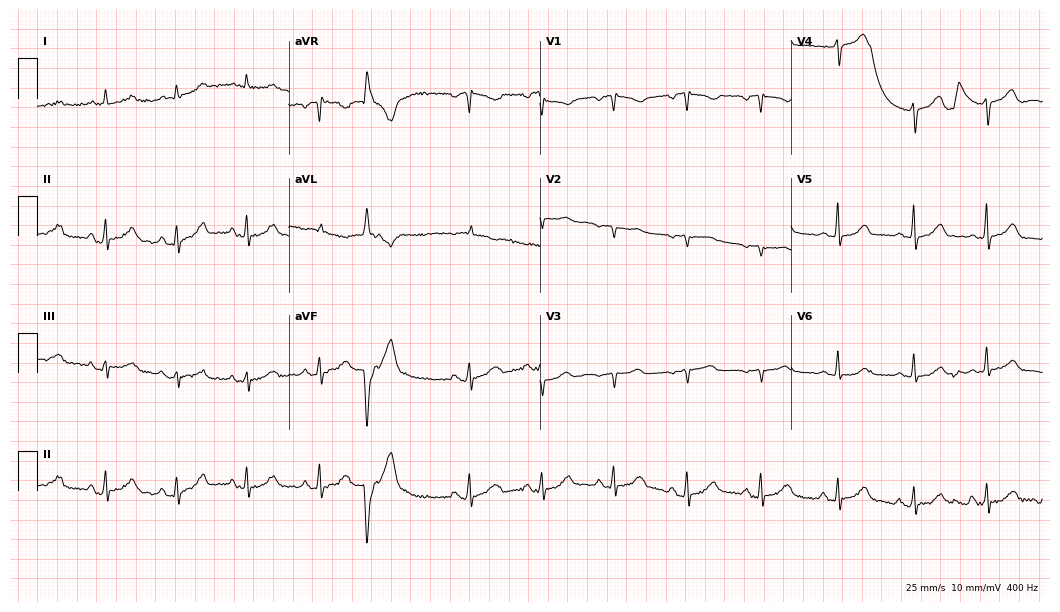
Electrocardiogram (10.2-second recording at 400 Hz), a 61-year-old female patient. Of the six screened findings (first-degree AV block, right bundle branch block, left bundle branch block, sinus bradycardia, atrial fibrillation, sinus tachycardia), none is recorded.